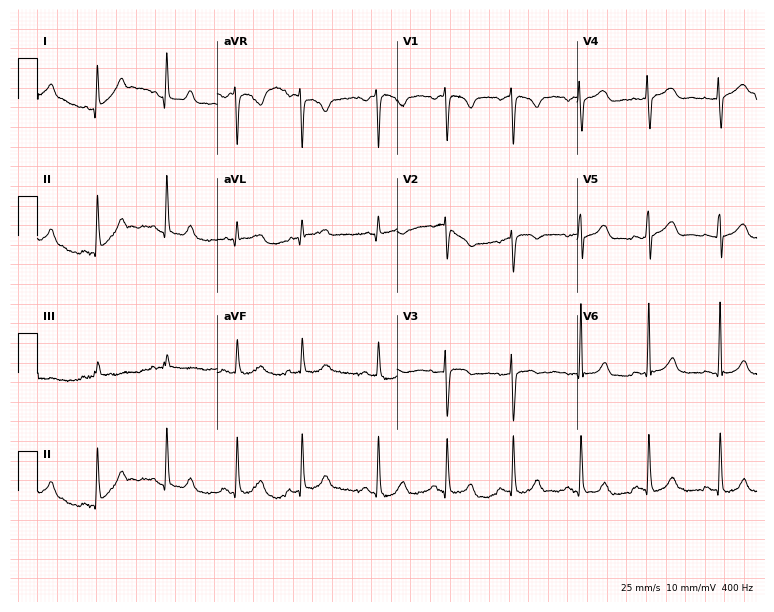
ECG (7.3-second recording at 400 Hz) — a woman, 32 years old. Screened for six findings — first-degree AV block, right bundle branch block (RBBB), left bundle branch block (LBBB), sinus bradycardia, atrial fibrillation (AF), sinus tachycardia — none is recorded. Only these six findings were labelled.